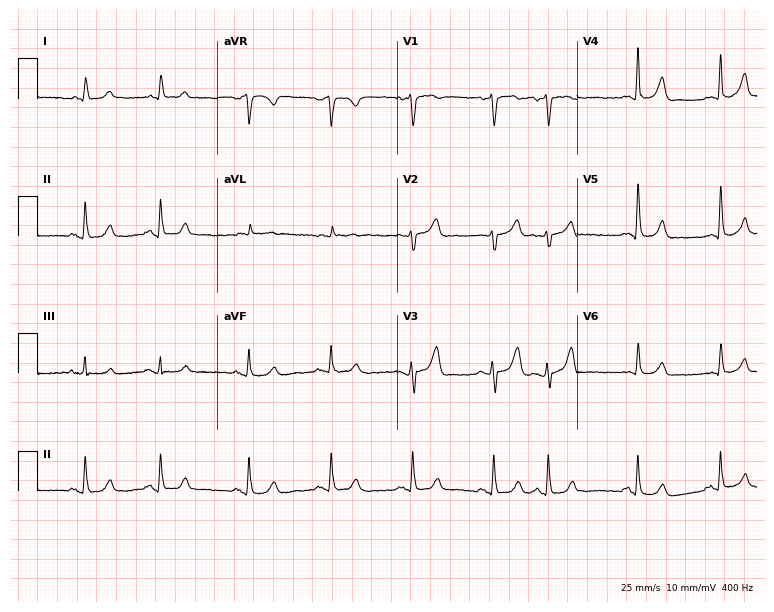
Electrocardiogram (7.3-second recording at 400 Hz), a man, 81 years old. Of the six screened findings (first-degree AV block, right bundle branch block (RBBB), left bundle branch block (LBBB), sinus bradycardia, atrial fibrillation (AF), sinus tachycardia), none is recorded. Findings outside these six are not listed.